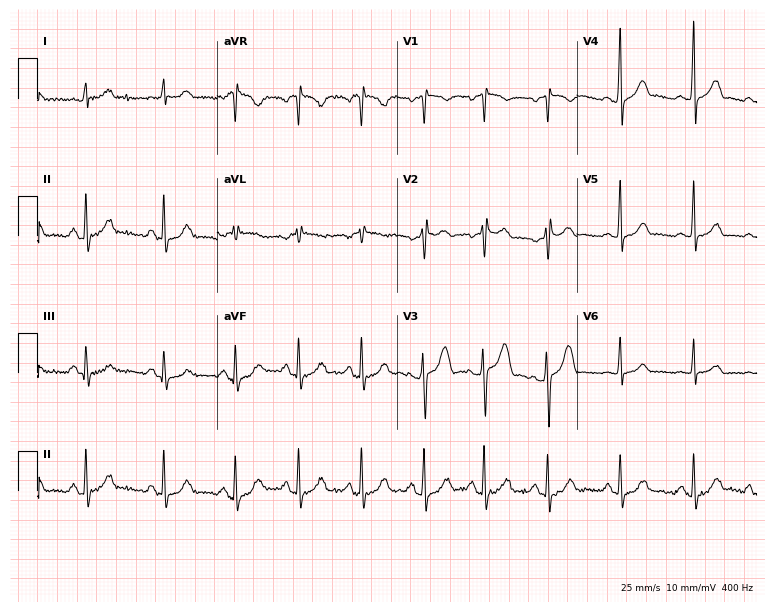
Resting 12-lead electrocardiogram. Patient: a 27-year-old male. None of these six findings is recorded: first-degree AV block, right bundle branch block, left bundle branch block, sinus bradycardia, atrial fibrillation, sinus tachycardia. Other findings, if any, are not listed.